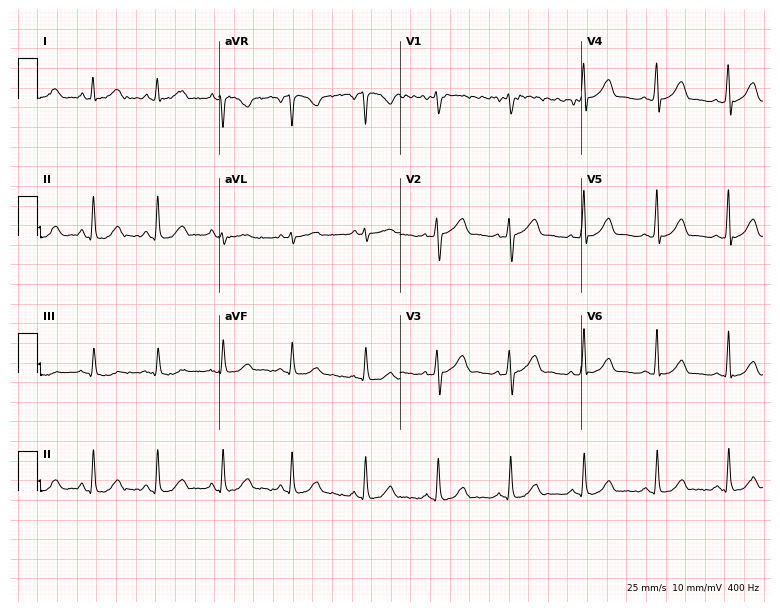
Electrocardiogram (7.4-second recording at 400 Hz), a woman, 44 years old. Overall reading on record: normal ECG.